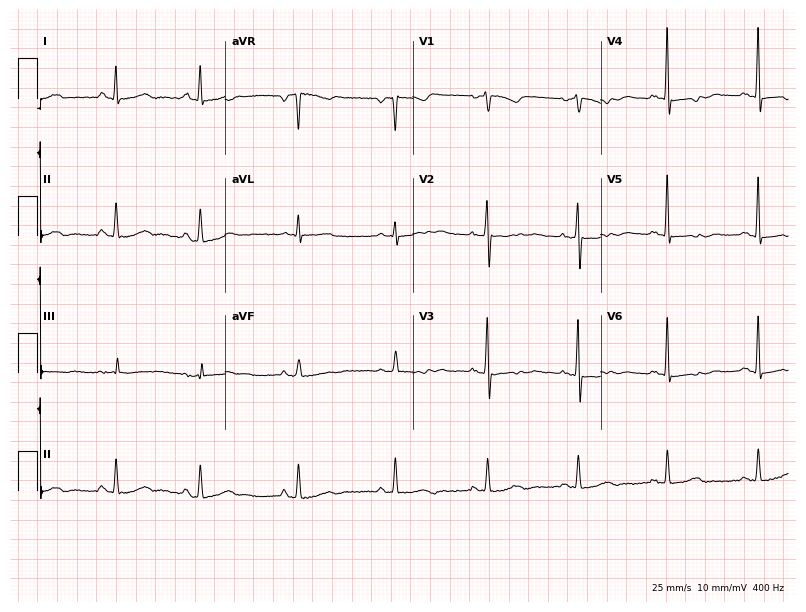
Standard 12-lead ECG recorded from a female patient, 78 years old (7.7-second recording at 400 Hz). None of these six findings is recorded: first-degree AV block, right bundle branch block (RBBB), left bundle branch block (LBBB), sinus bradycardia, atrial fibrillation (AF), sinus tachycardia. Only these six findings were labelled.